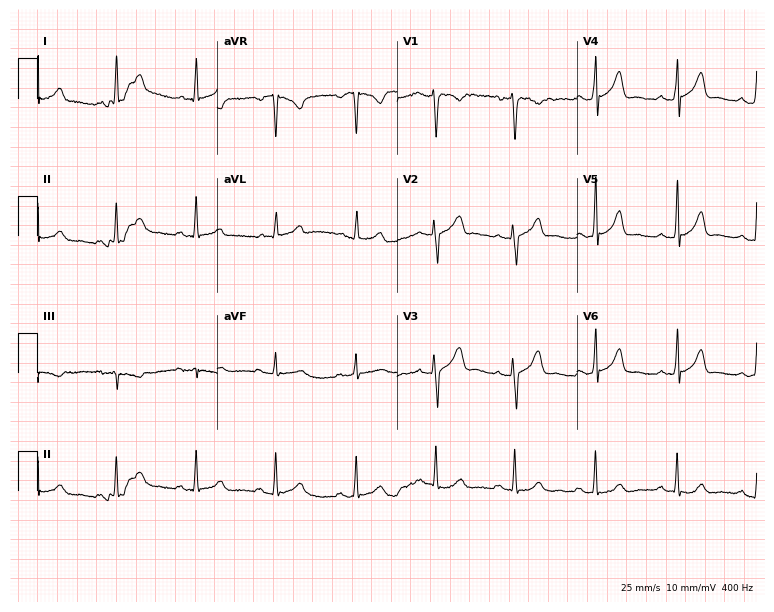
Resting 12-lead electrocardiogram. Patient: a 37-year-old woman. Read as a normal ECG.